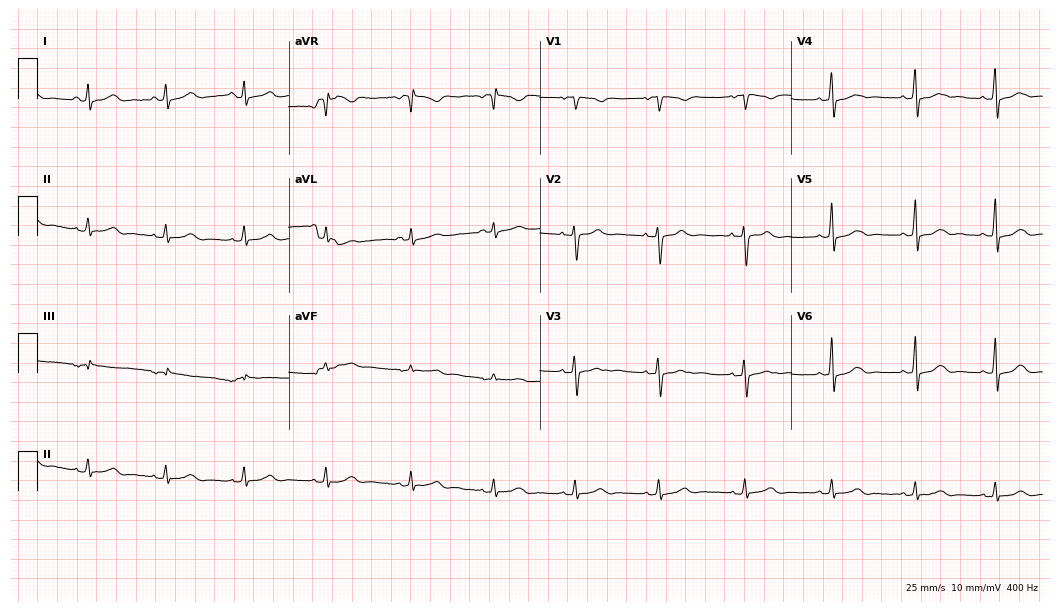
ECG (10.2-second recording at 400 Hz) — a female patient, 34 years old. Labelled as a normal ECG.